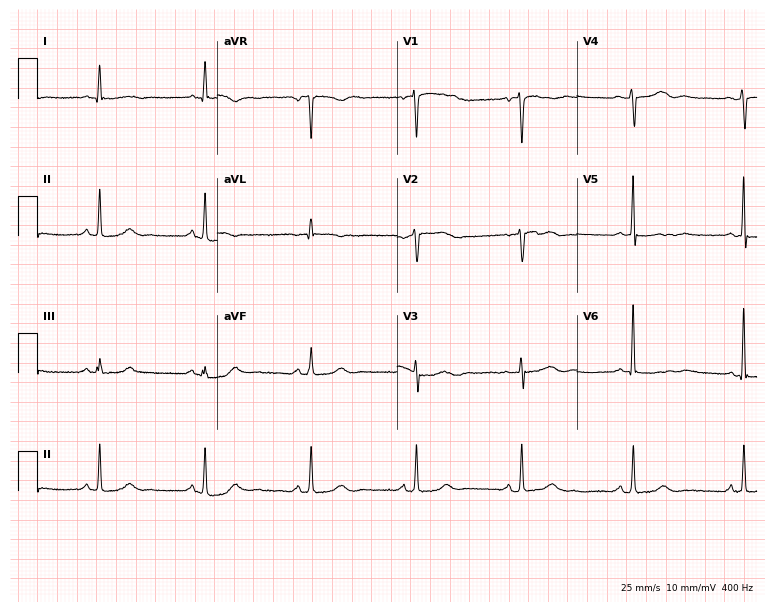
Standard 12-lead ECG recorded from a female patient, 65 years old. None of these six findings is recorded: first-degree AV block, right bundle branch block, left bundle branch block, sinus bradycardia, atrial fibrillation, sinus tachycardia. Findings outside these six are not listed.